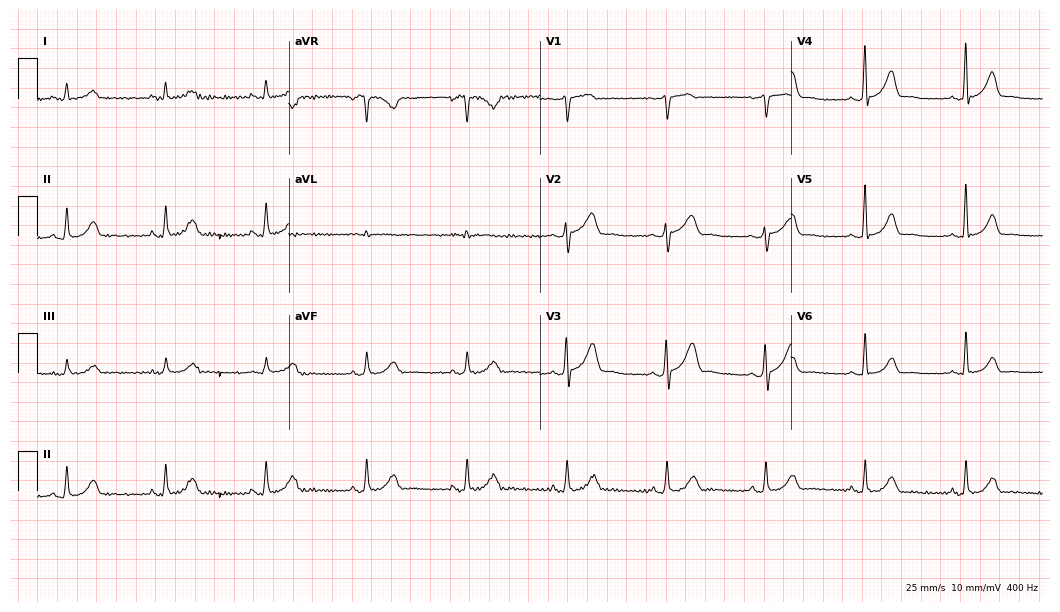
12-lead ECG from a male, 62 years old (10.2-second recording at 400 Hz). Recorded interpretation: within normal limits.